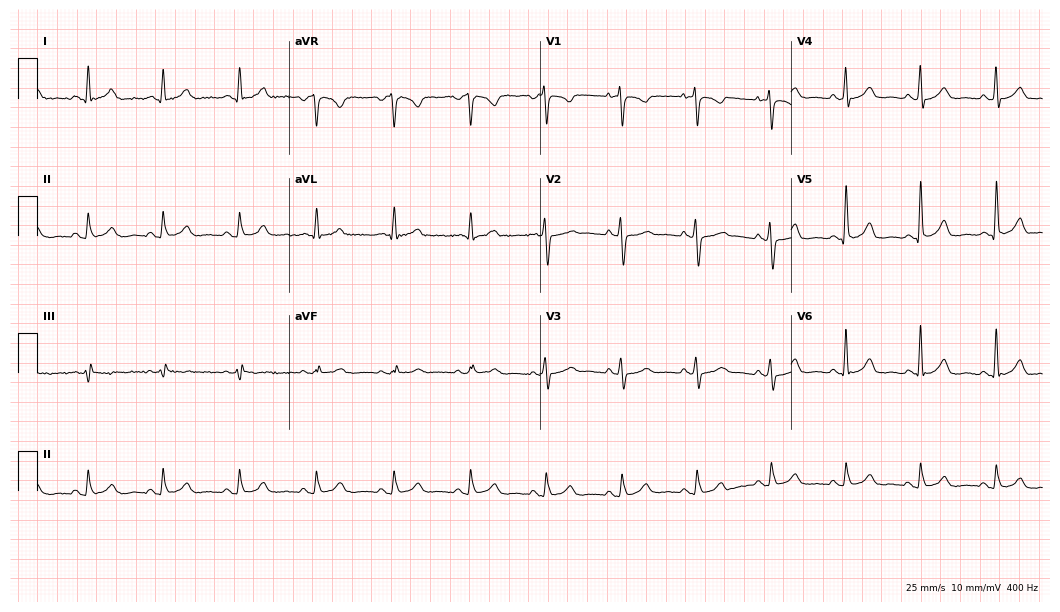
12-lead ECG from a 52-year-old male patient. Recorded interpretation: within normal limits.